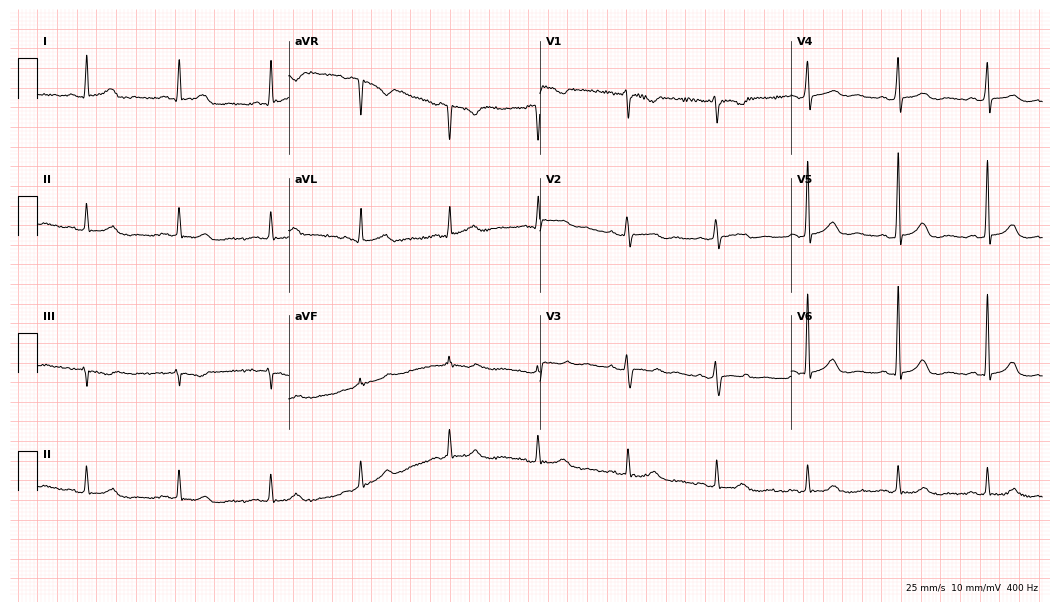
Resting 12-lead electrocardiogram (10.2-second recording at 400 Hz). Patient: a female, 62 years old. Read as a normal ECG.